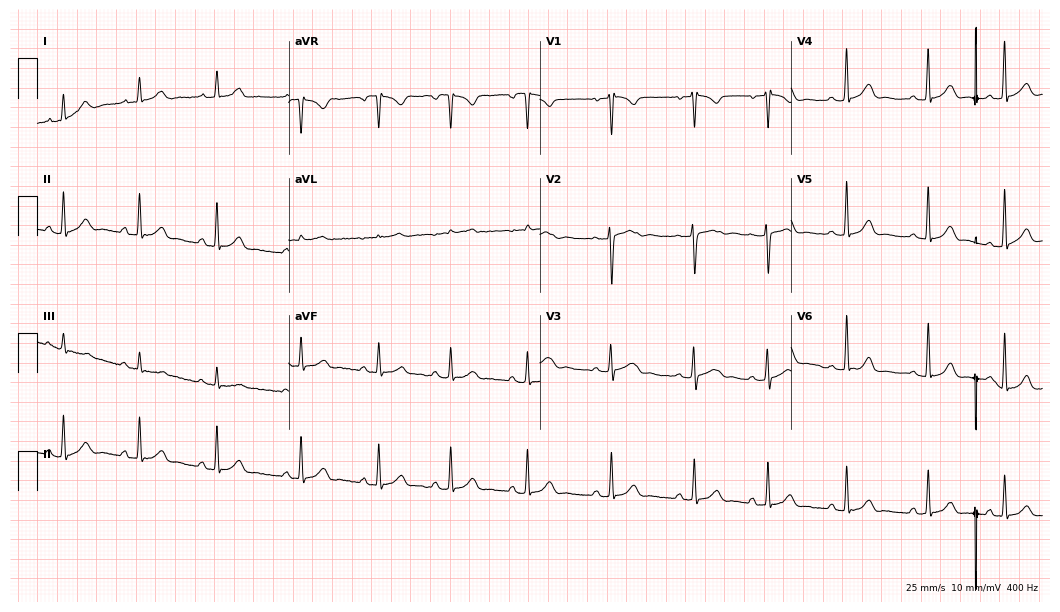
Electrocardiogram, a 34-year-old female patient. Of the six screened findings (first-degree AV block, right bundle branch block, left bundle branch block, sinus bradycardia, atrial fibrillation, sinus tachycardia), none is recorded.